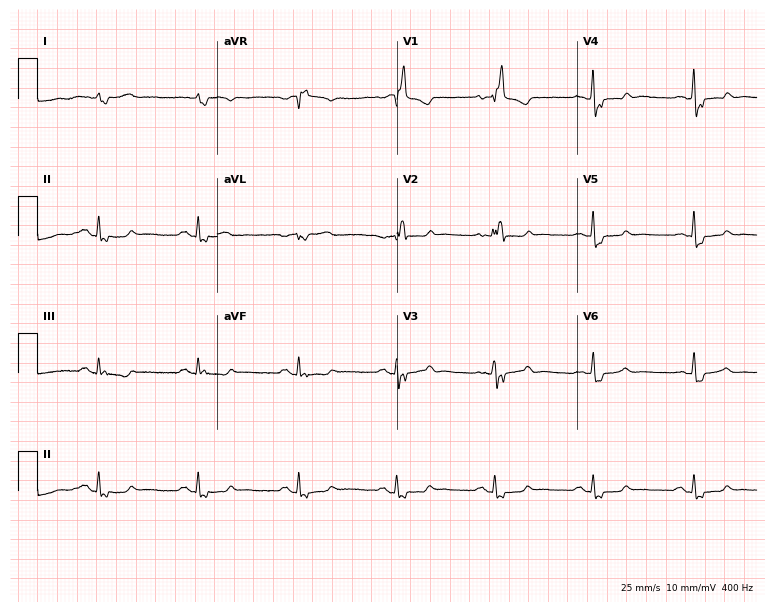
12-lead ECG (7.3-second recording at 400 Hz) from an 84-year-old female. Findings include right bundle branch block.